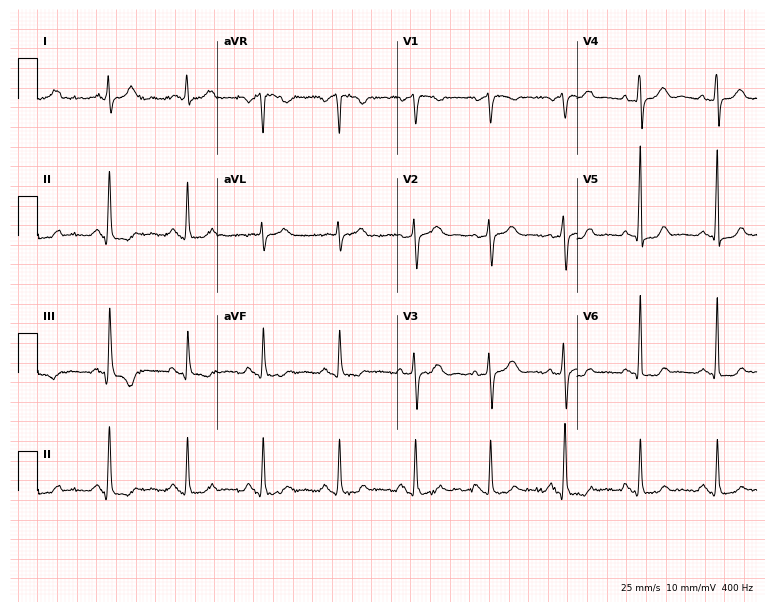
ECG — a 48-year-old female patient. Screened for six findings — first-degree AV block, right bundle branch block, left bundle branch block, sinus bradycardia, atrial fibrillation, sinus tachycardia — none is recorded. Findings outside these six are not listed.